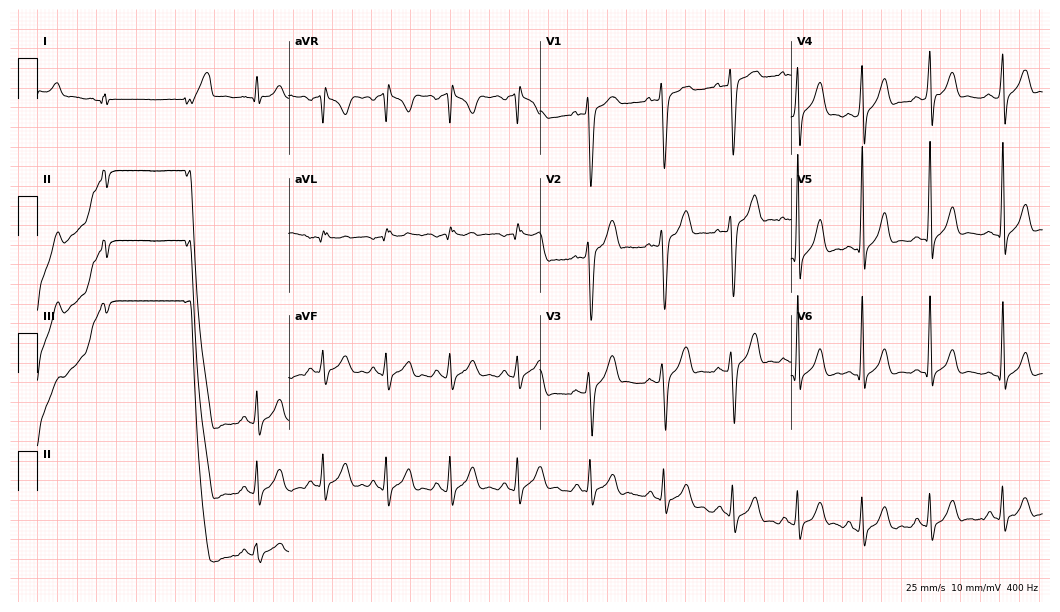
12-lead ECG (10.2-second recording at 400 Hz) from a male patient, 19 years old. Screened for six findings — first-degree AV block, right bundle branch block, left bundle branch block, sinus bradycardia, atrial fibrillation, sinus tachycardia — none is recorded.